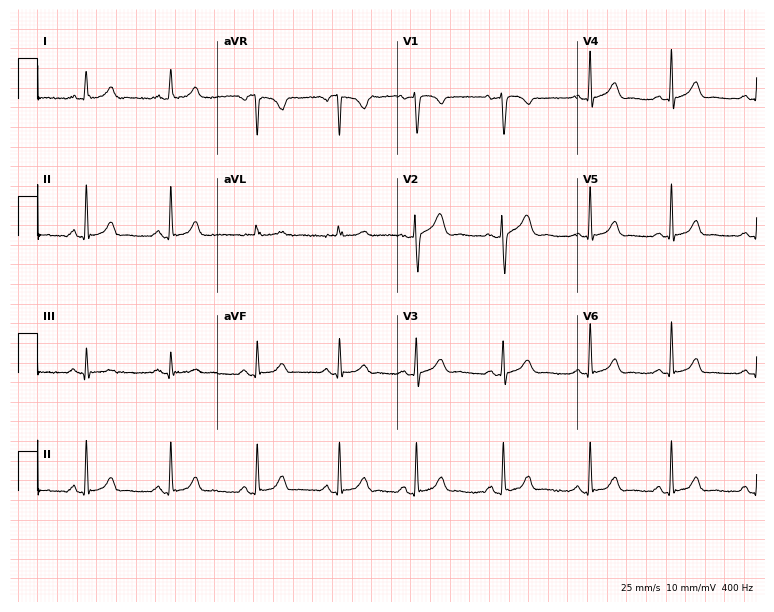
Electrocardiogram (7.3-second recording at 400 Hz), a female patient, 25 years old. Overall reading on record: normal ECG.